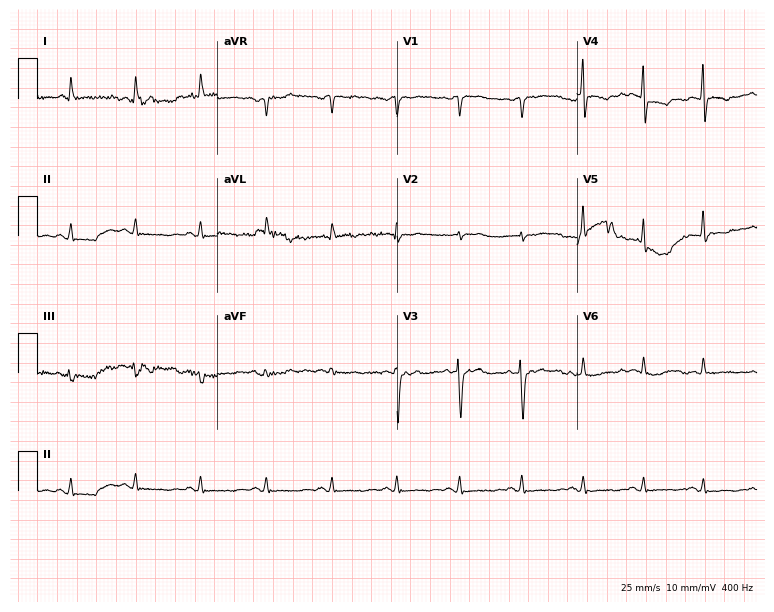
Resting 12-lead electrocardiogram (7.3-second recording at 400 Hz). Patient: a 57-year-old woman. None of these six findings is recorded: first-degree AV block, right bundle branch block (RBBB), left bundle branch block (LBBB), sinus bradycardia, atrial fibrillation (AF), sinus tachycardia.